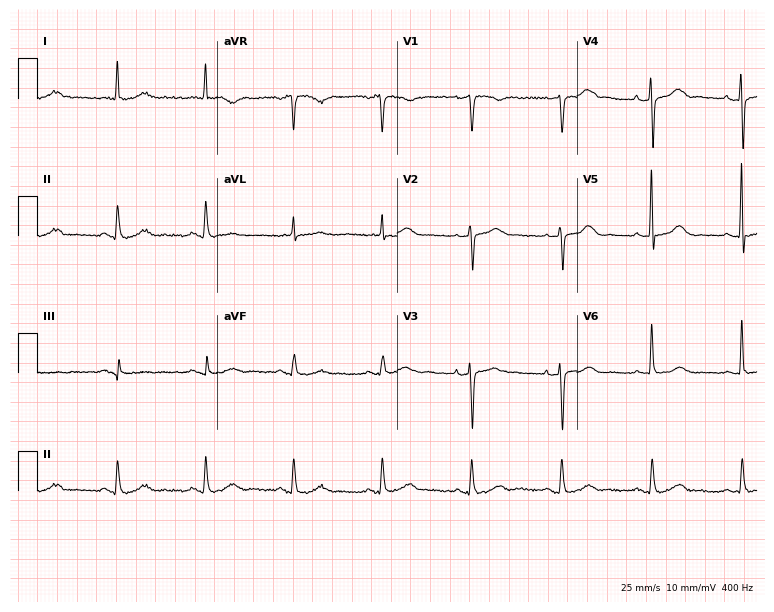
12-lead ECG from a 76-year-old female (7.3-second recording at 400 Hz). Recorded interpretation: within normal limits.